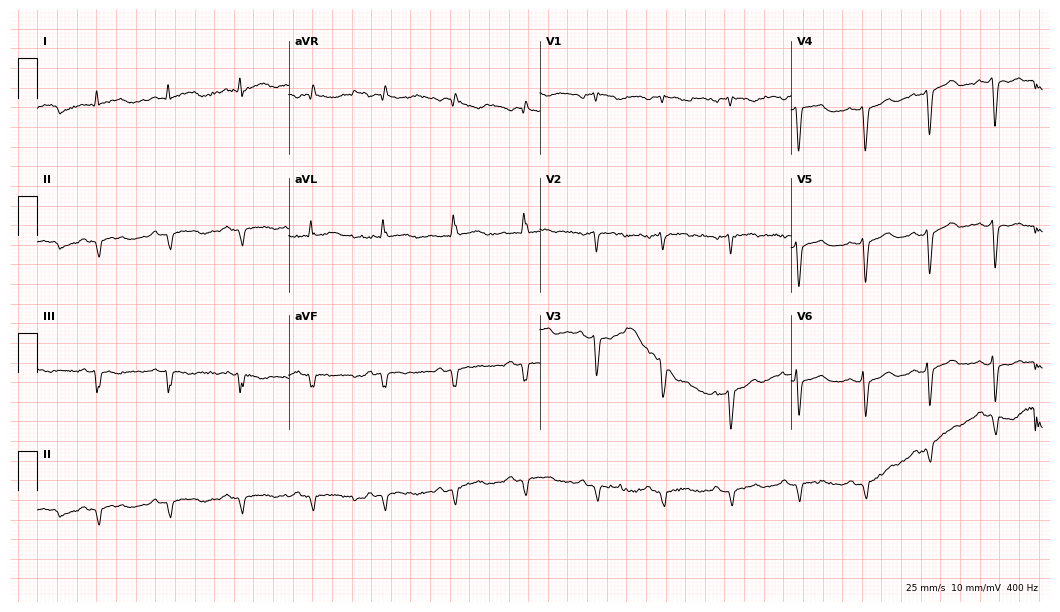
Standard 12-lead ECG recorded from a 69-year-old male patient (10.2-second recording at 400 Hz). None of these six findings is recorded: first-degree AV block, right bundle branch block, left bundle branch block, sinus bradycardia, atrial fibrillation, sinus tachycardia.